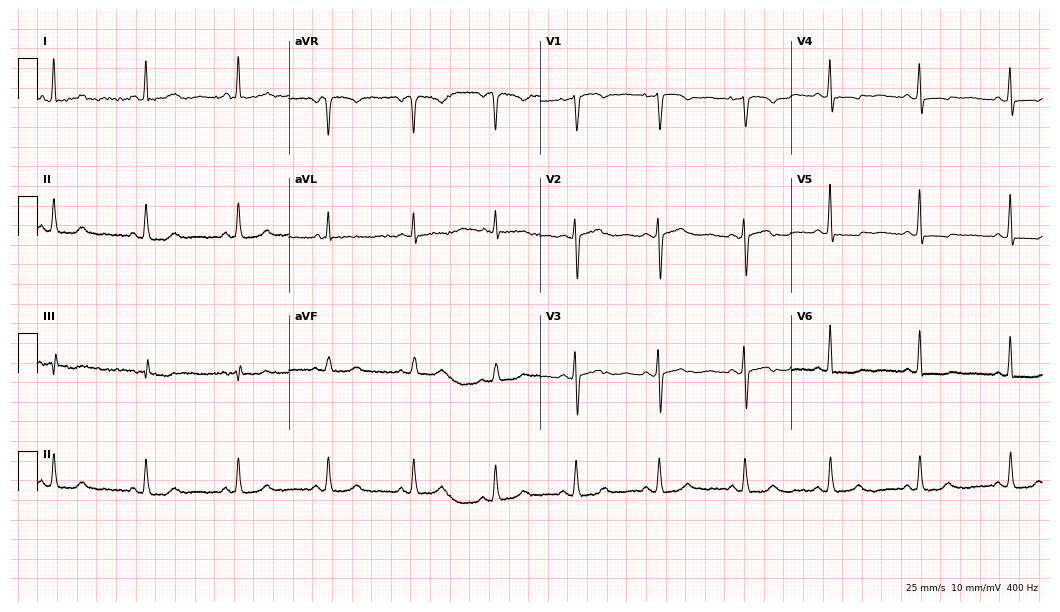
ECG — a 49-year-old woman. Screened for six findings — first-degree AV block, right bundle branch block (RBBB), left bundle branch block (LBBB), sinus bradycardia, atrial fibrillation (AF), sinus tachycardia — none is recorded. Other findings, if any, are not listed.